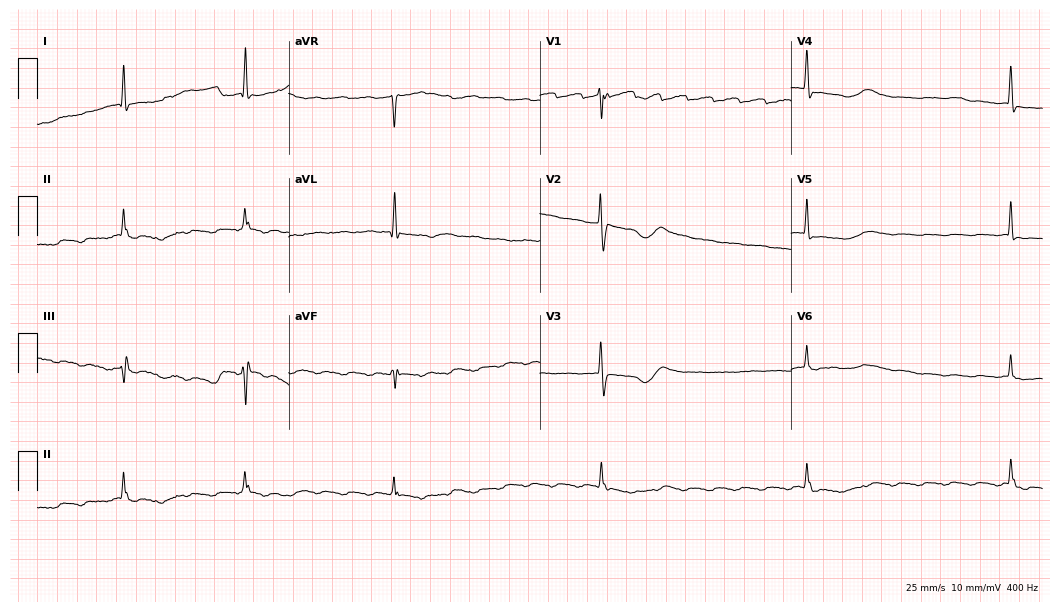
12-lead ECG from a 79-year-old woman. No first-degree AV block, right bundle branch block, left bundle branch block, sinus bradycardia, atrial fibrillation or sinus tachycardia recorded for this tracing.